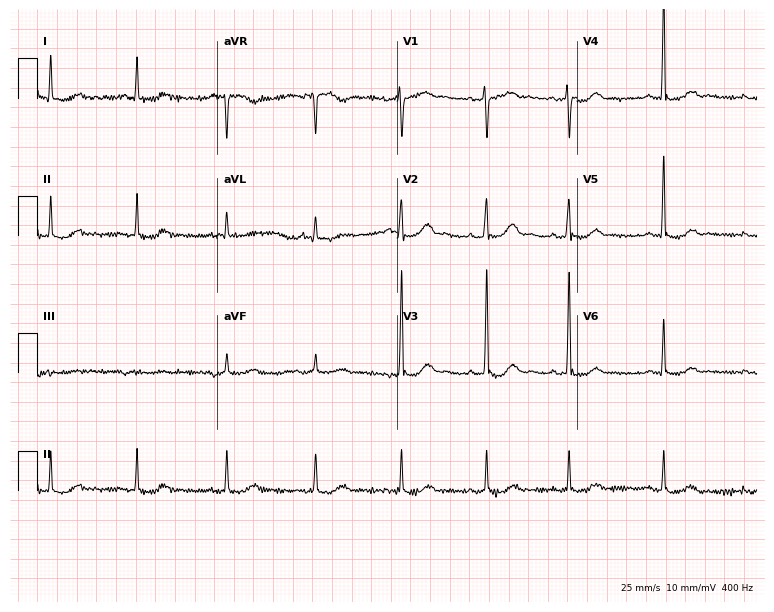
Standard 12-lead ECG recorded from a 61-year-old woman (7.3-second recording at 400 Hz). None of these six findings is recorded: first-degree AV block, right bundle branch block, left bundle branch block, sinus bradycardia, atrial fibrillation, sinus tachycardia.